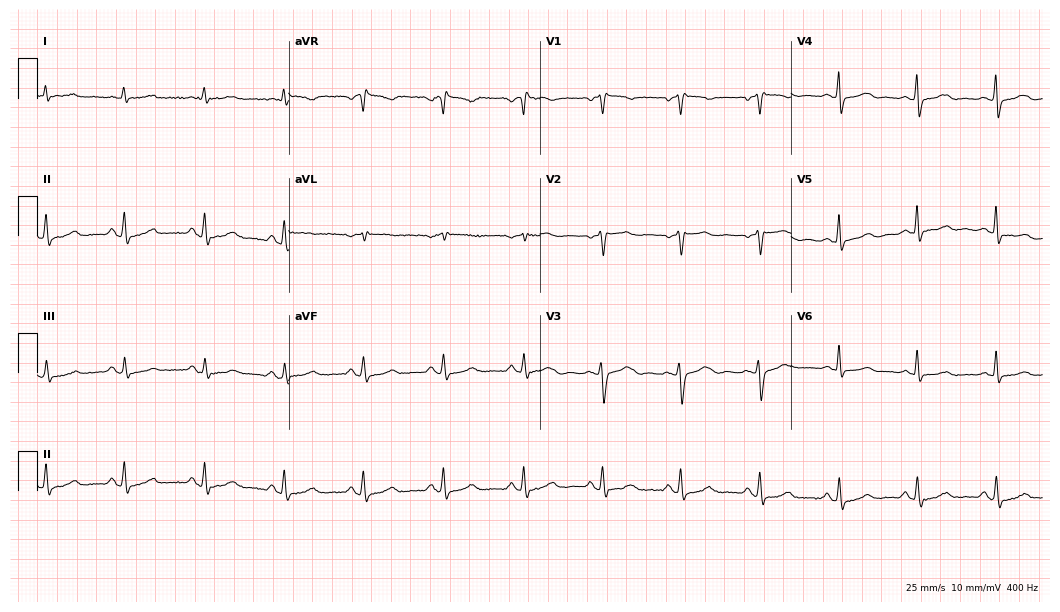
Resting 12-lead electrocardiogram. Patient: a 56-year-old female. Read as a normal ECG.